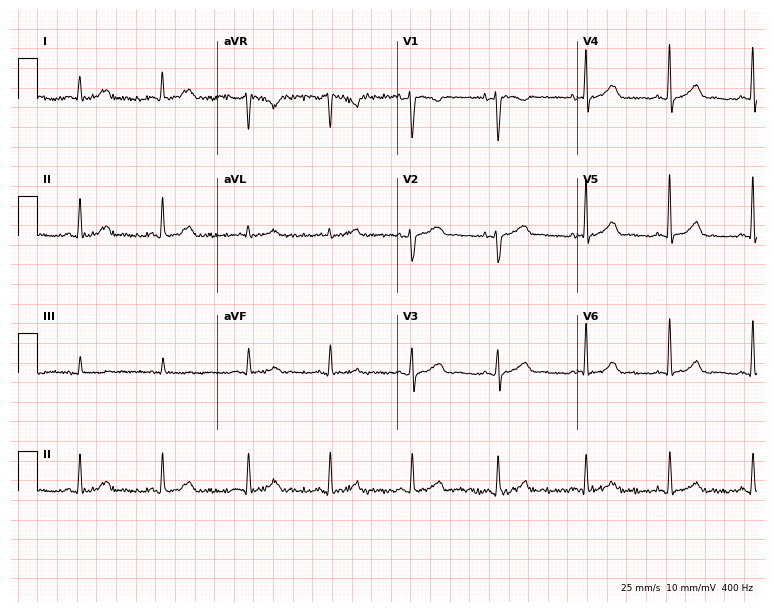
ECG (7.3-second recording at 400 Hz) — a 44-year-old woman. Labelled as a normal ECG.